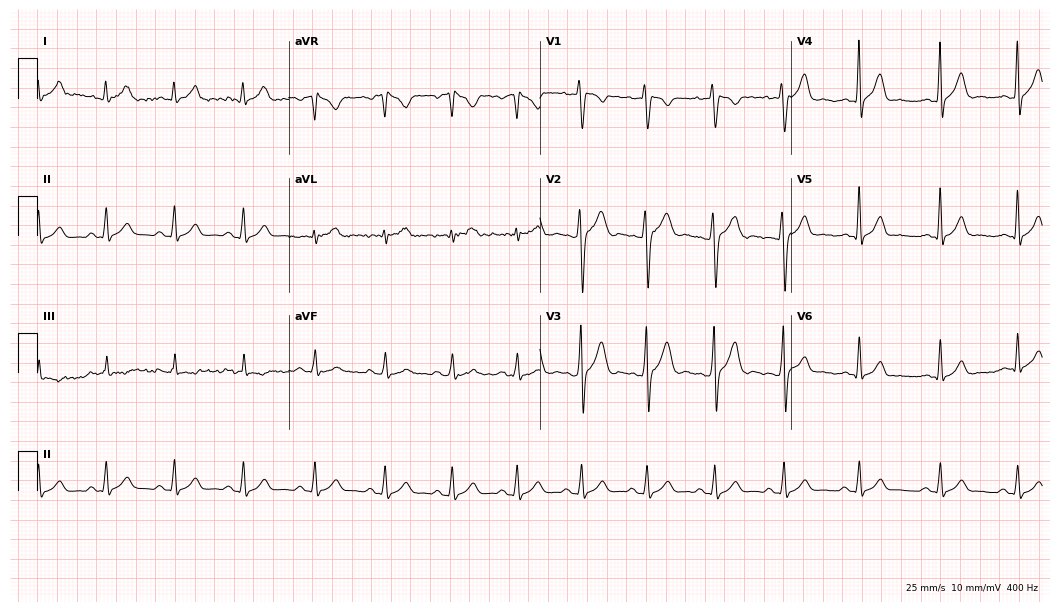
12-lead ECG from a male patient, 24 years old. Recorded interpretation: within normal limits.